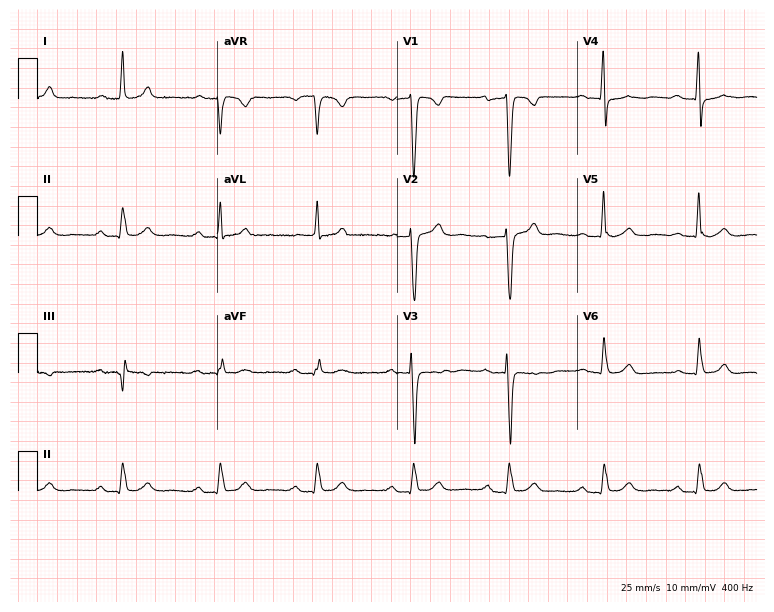
12-lead ECG (7.3-second recording at 400 Hz) from a 73-year-old man. Findings include first-degree AV block.